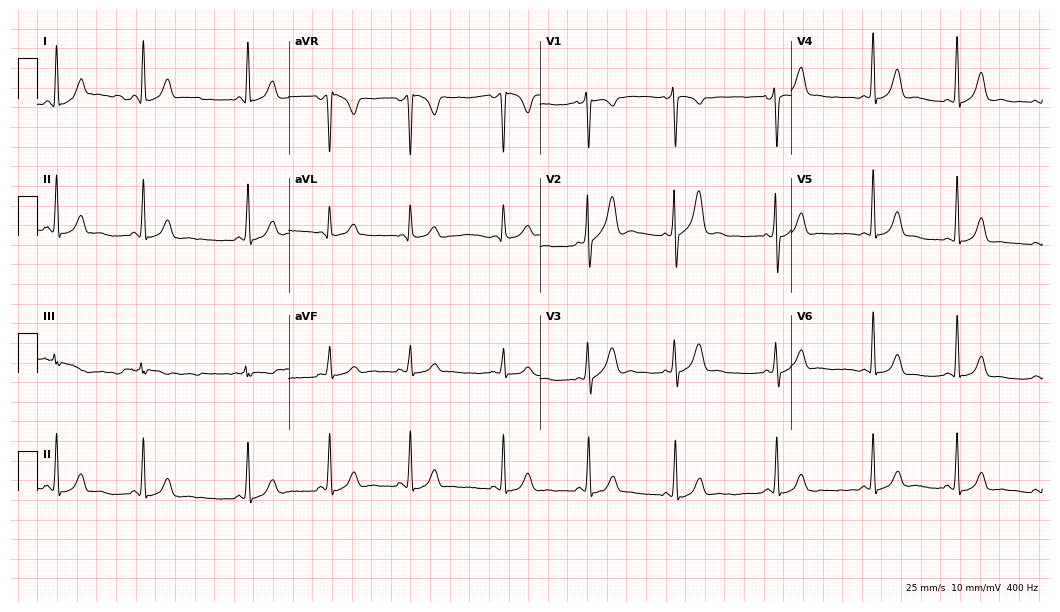
Electrocardiogram, a female, 20 years old. Overall reading on record: normal ECG.